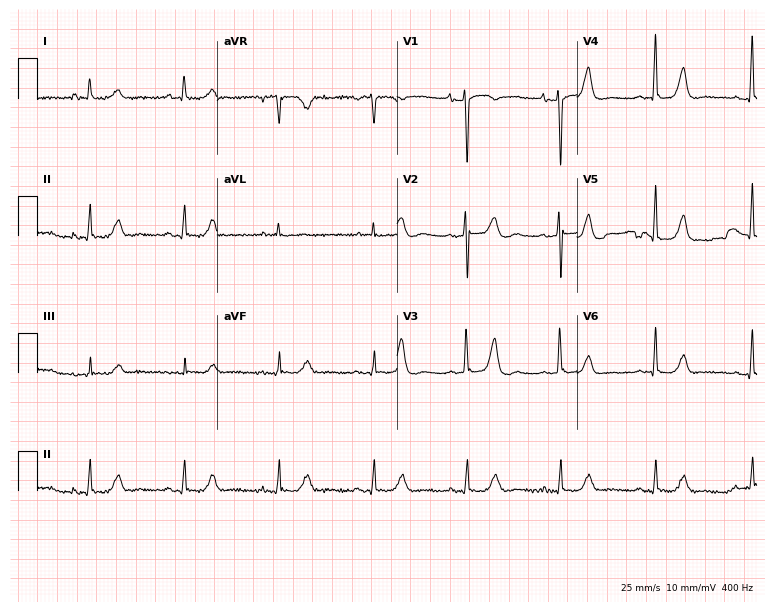
Electrocardiogram, an 84-year-old female. Of the six screened findings (first-degree AV block, right bundle branch block, left bundle branch block, sinus bradycardia, atrial fibrillation, sinus tachycardia), none is recorded.